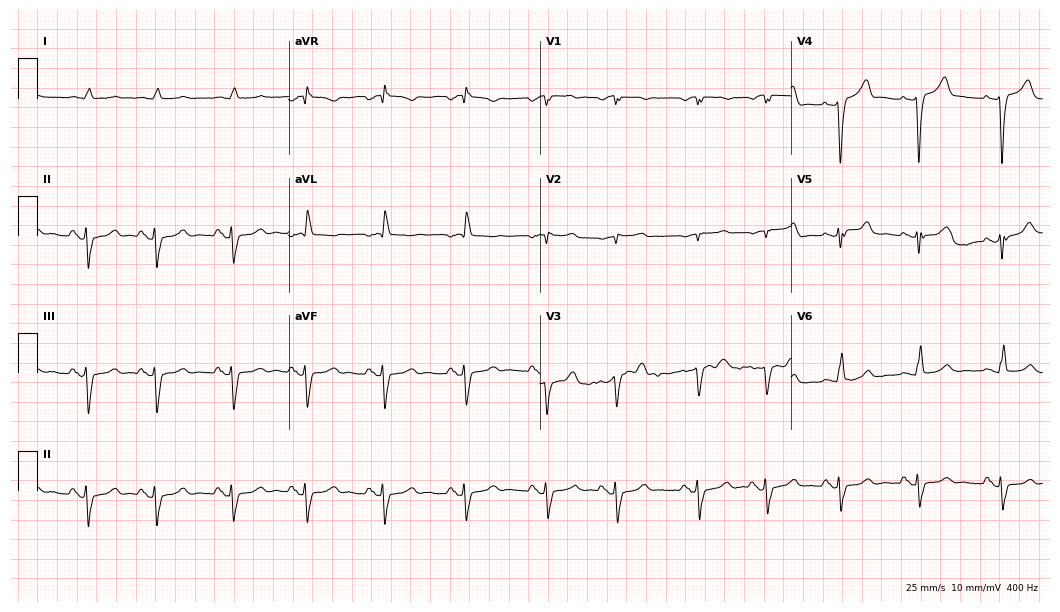
12-lead ECG from a male patient, 69 years old. Screened for six findings — first-degree AV block, right bundle branch block, left bundle branch block, sinus bradycardia, atrial fibrillation, sinus tachycardia — none is recorded. Findings outside these six are not listed.